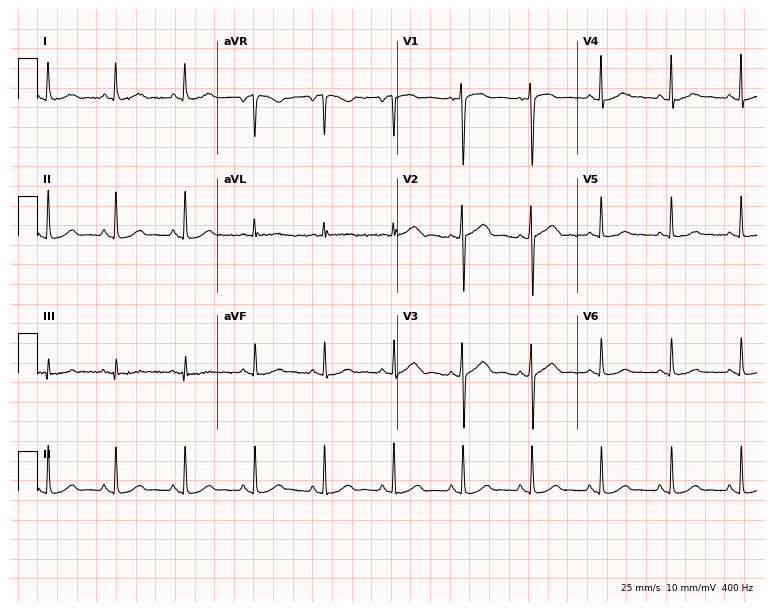
Electrocardiogram, a female patient, 50 years old. Overall reading on record: normal ECG.